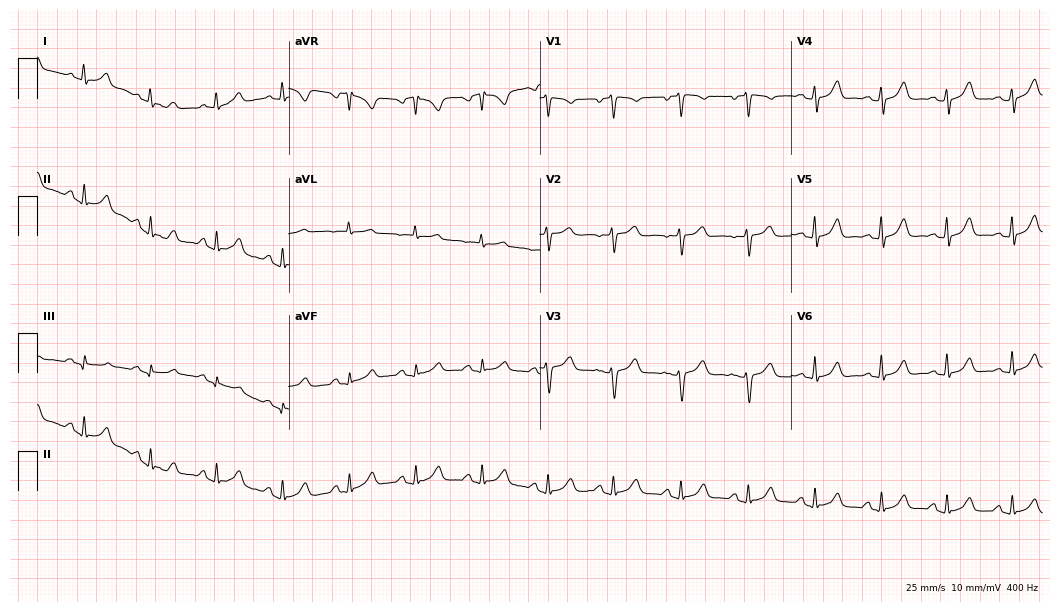
12-lead ECG from a 50-year-old female (10.2-second recording at 400 Hz). Recorded interpretation: within normal limits.